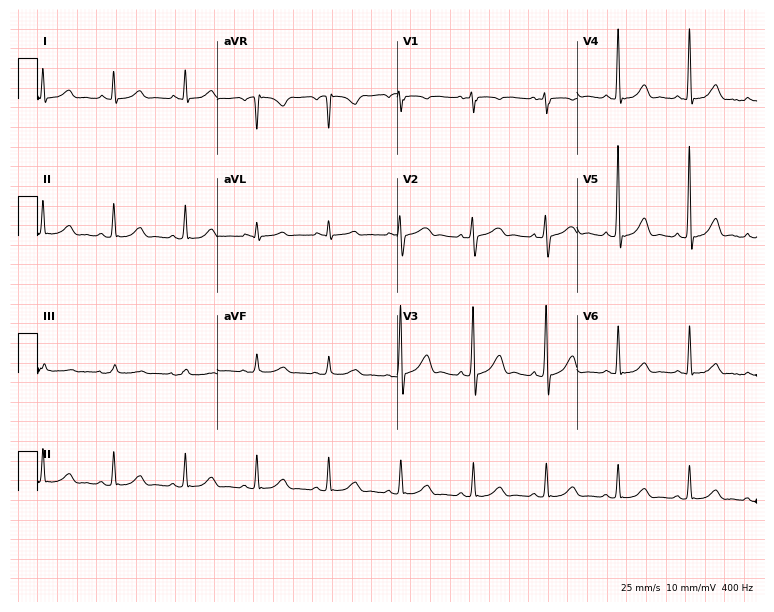
Standard 12-lead ECG recorded from a 48-year-old man. None of these six findings is recorded: first-degree AV block, right bundle branch block (RBBB), left bundle branch block (LBBB), sinus bradycardia, atrial fibrillation (AF), sinus tachycardia. Other findings, if any, are not listed.